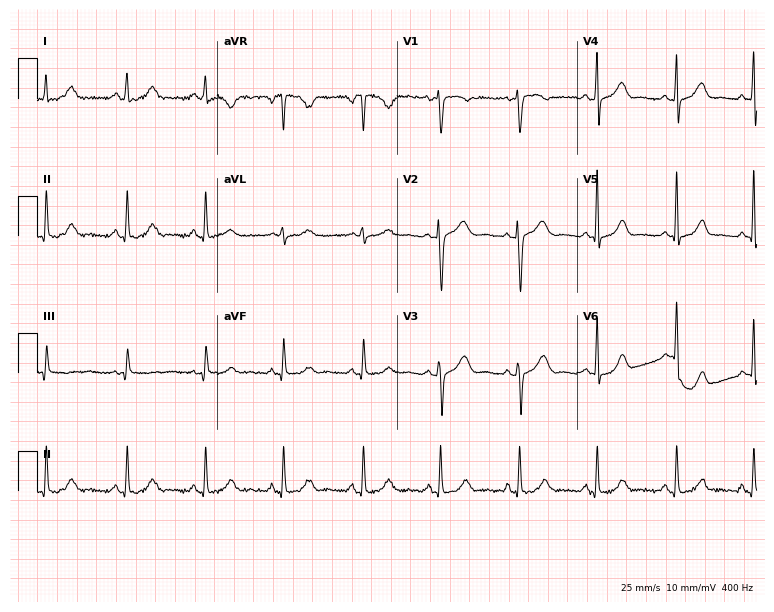
Electrocardiogram, a 36-year-old female patient. Of the six screened findings (first-degree AV block, right bundle branch block, left bundle branch block, sinus bradycardia, atrial fibrillation, sinus tachycardia), none is recorded.